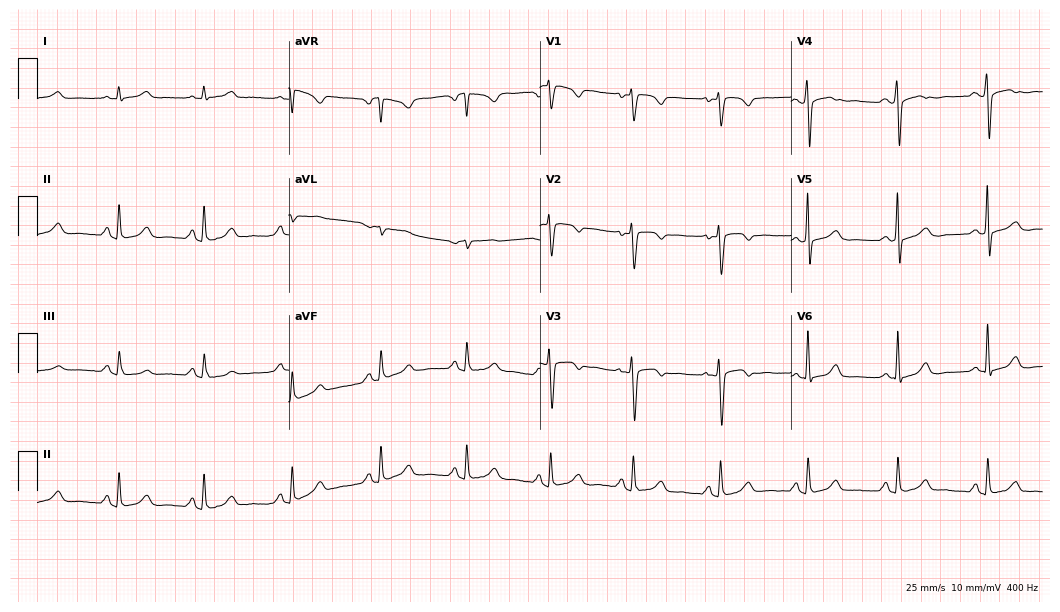
12-lead ECG from a female, 54 years old. No first-degree AV block, right bundle branch block (RBBB), left bundle branch block (LBBB), sinus bradycardia, atrial fibrillation (AF) or sinus tachycardia recorded for this tracing.